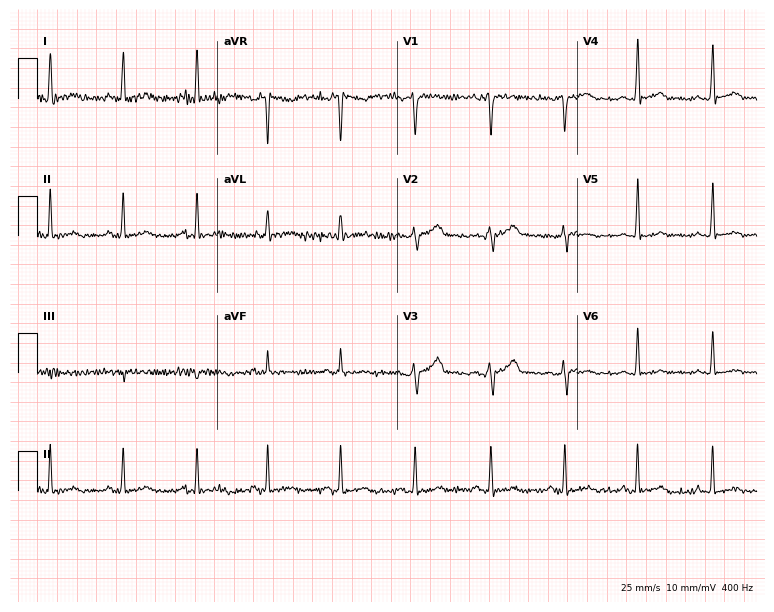
12-lead ECG from a 45-year-old male. No first-degree AV block, right bundle branch block, left bundle branch block, sinus bradycardia, atrial fibrillation or sinus tachycardia recorded for this tracing.